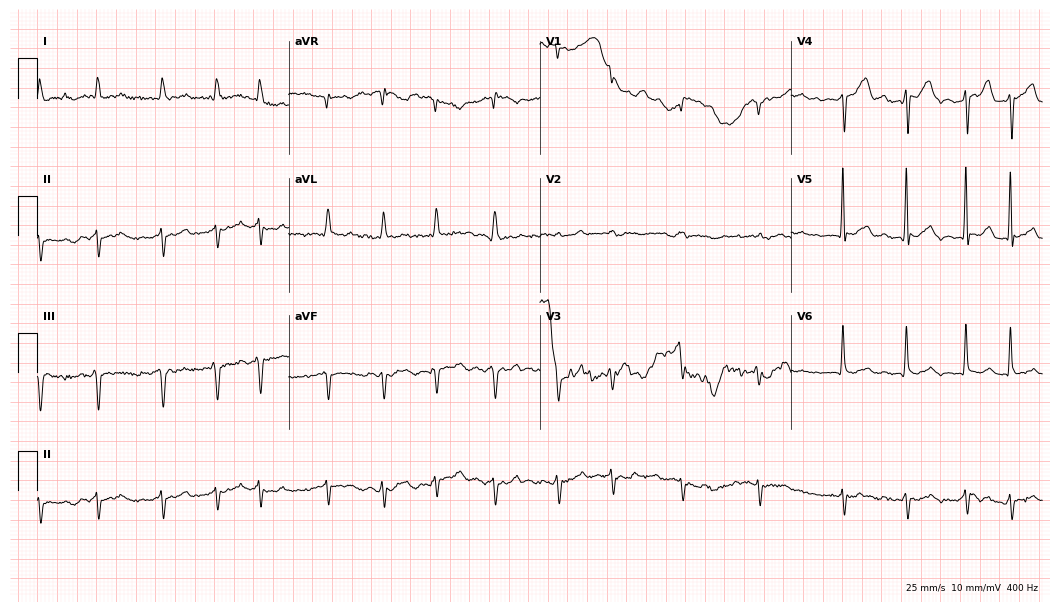
ECG (10.2-second recording at 400 Hz) — a 74-year-old male patient. Screened for six findings — first-degree AV block, right bundle branch block, left bundle branch block, sinus bradycardia, atrial fibrillation, sinus tachycardia — none is recorded.